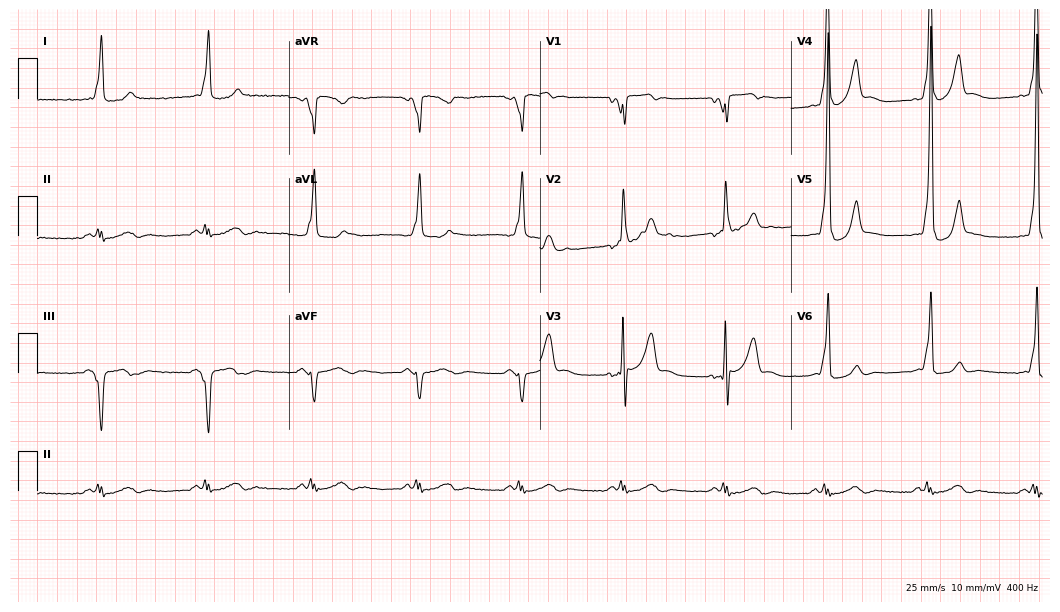
12-lead ECG (10.2-second recording at 400 Hz) from a male patient, 52 years old. Screened for six findings — first-degree AV block, right bundle branch block, left bundle branch block, sinus bradycardia, atrial fibrillation, sinus tachycardia — none is recorded.